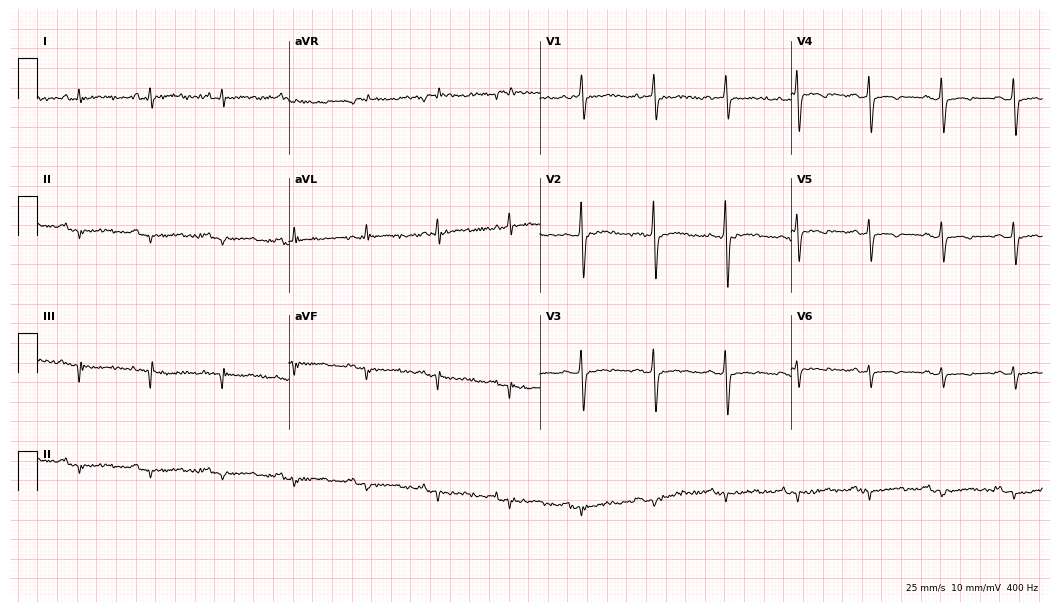
Standard 12-lead ECG recorded from a woman, 67 years old. None of these six findings is recorded: first-degree AV block, right bundle branch block (RBBB), left bundle branch block (LBBB), sinus bradycardia, atrial fibrillation (AF), sinus tachycardia.